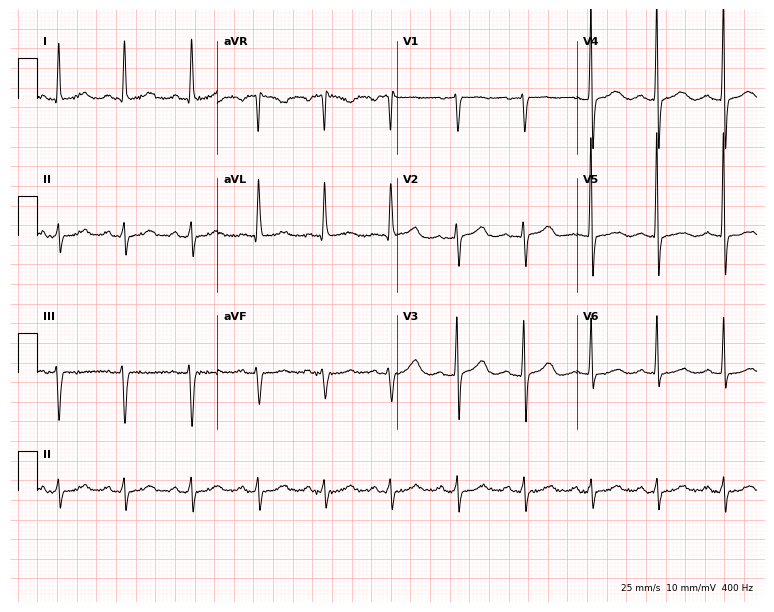
12-lead ECG from a woman, 79 years old (7.3-second recording at 400 Hz). No first-degree AV block, right bundle branch block, left bundle branch block, sinus bradycardia, atrial fibrillation or sinus tachycardia recorded for this tracing. Only these six findings were labelled.